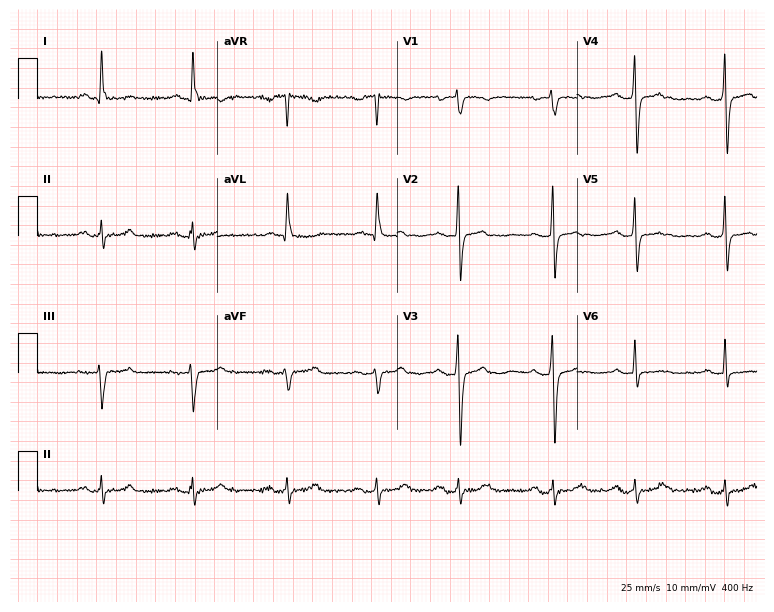
Resting 12-lead electrocardiogram. Patient: a 78-year-old female. None of these six findings is recorded: first-degree AV block, right bundle branch block, left bundle branch block, sinus bradycardia, atrial fibrillation, sinus tachycardia. Findings outside these six are not listed.